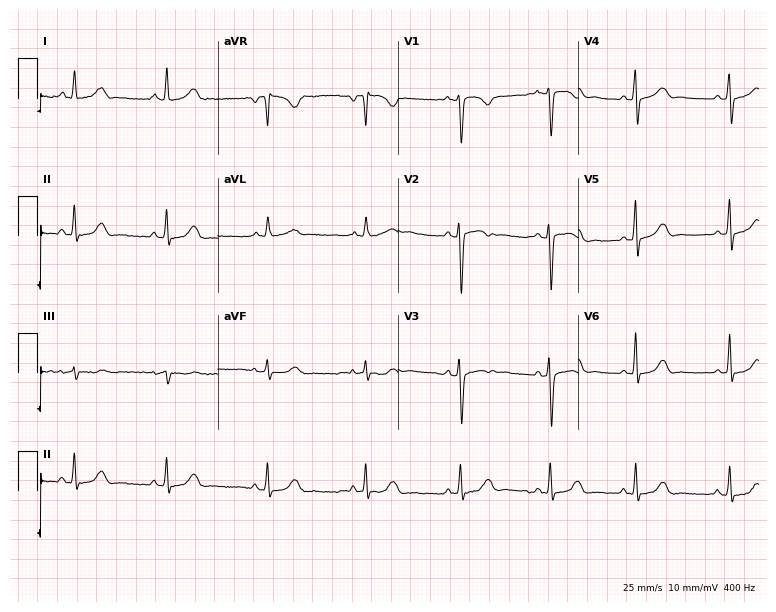
Standard 12-lead ECG recorded from a 25-year-old female (7.4-second recording at 400 Hz). Read as a normal ECG.